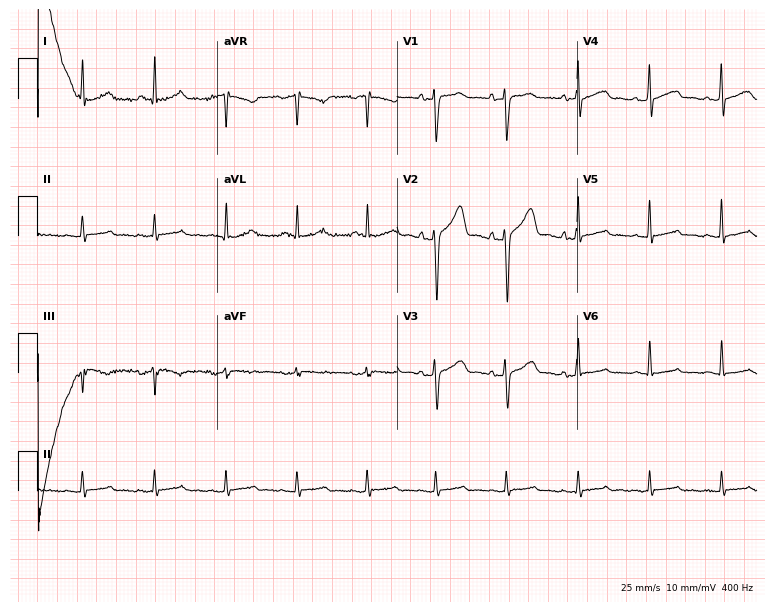
Resting 12-lead electrocardiogram (7.3-second recording at 400 Hz). Patient: a 50-year-old man. Read as a normal ECG.